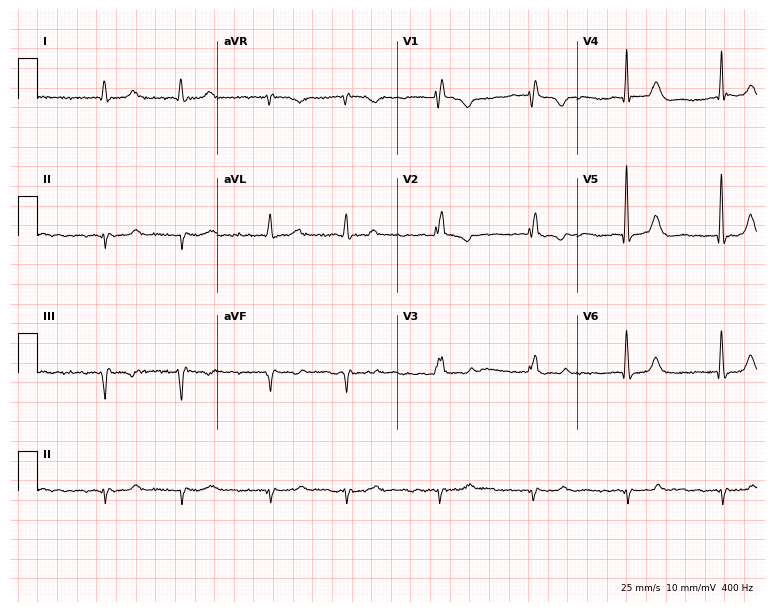
12-lead ECG (7.3-second recording at 400 Hz) from an 82-year-old male patient. Findings include right bundle branch block, atrial fibrillation.